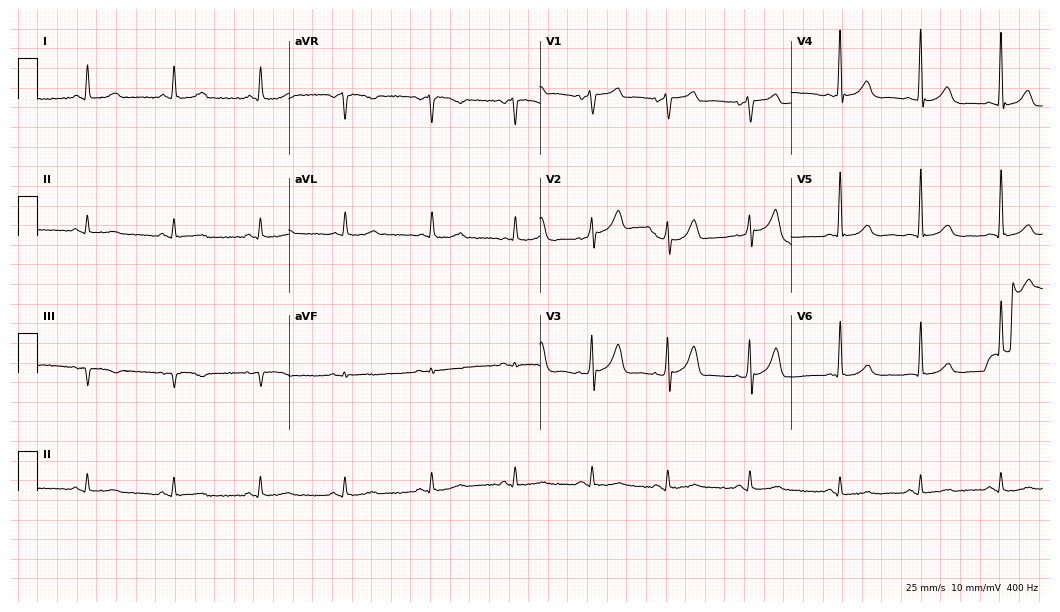
12-lead ECG from a 73-year-old man (10.2-second recording at 400 Hz). No first-degree AV block, right bundle branch block, left bundle branch block, sinus bradycardia, atrial fibrillation or sinus tachycardia recorded for this tracing.